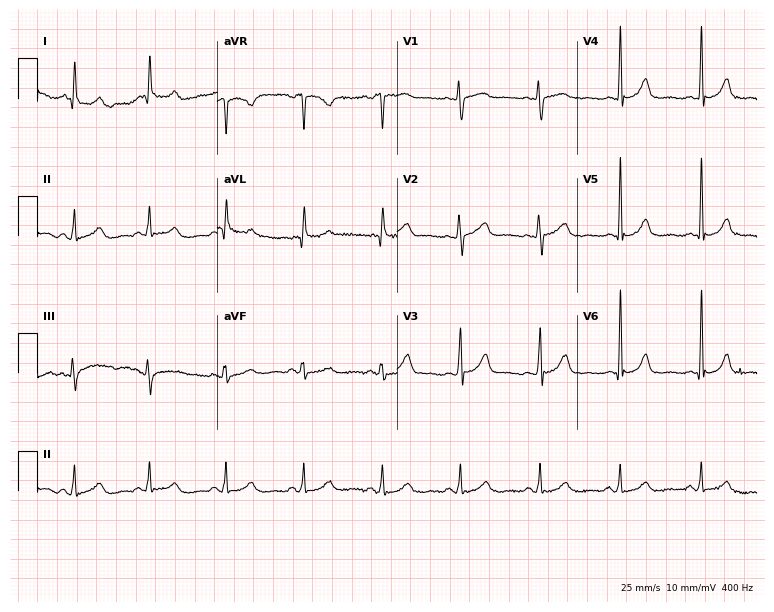
Electrocardiogram, a 56-year-old woman. Overall reading on record: normal ECG.